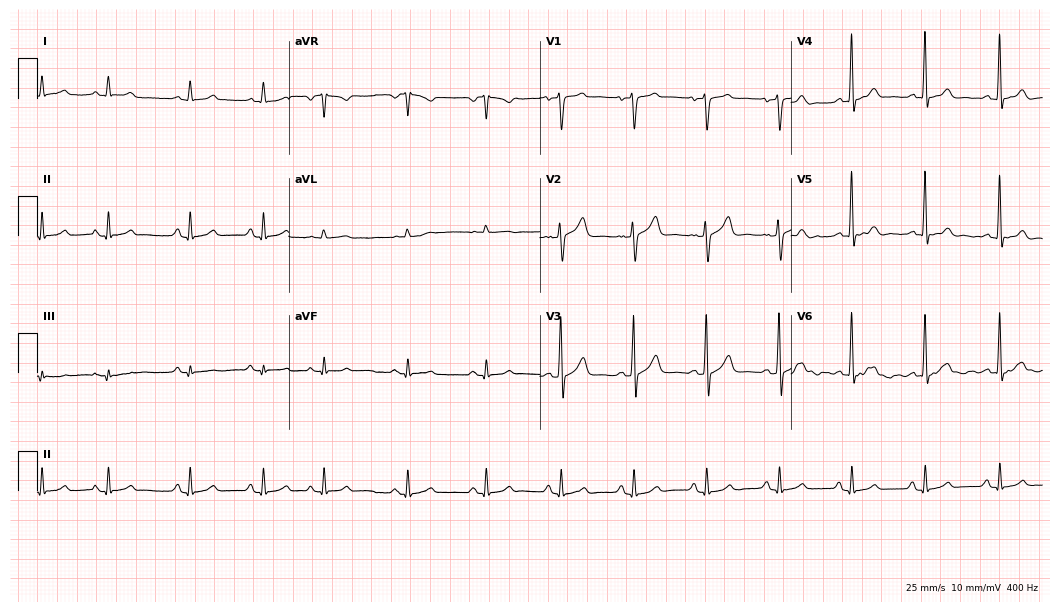
ECG — a 65-year-old male patient. Labelled as a normal ECG.